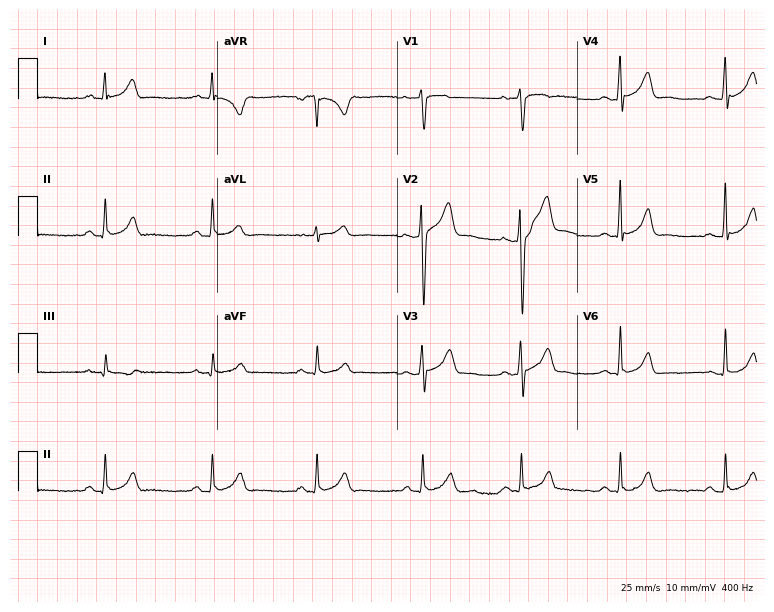
12-lead ECG (7.3-second recording at 400 Hz) from a man, 30 years old. Labelled as a normal ECG.